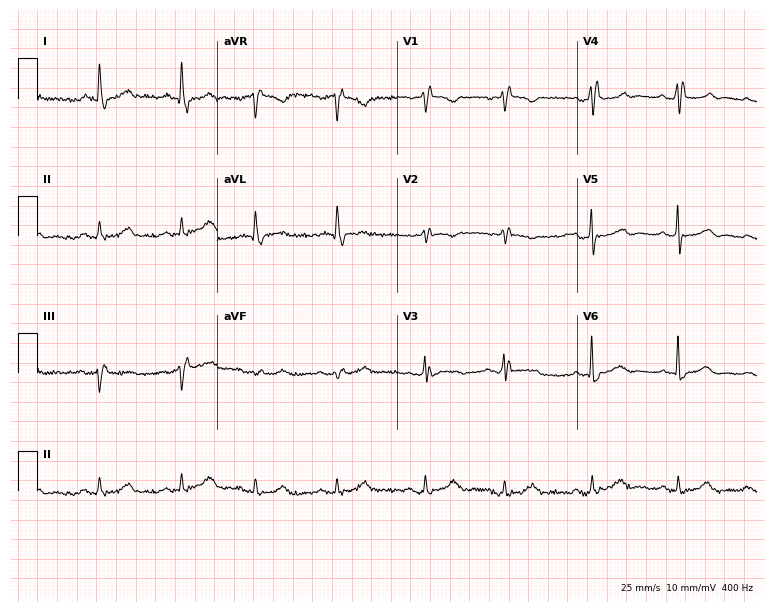
Standard 12-lead ECG recorded from a 66-year-old female patient (7.3-second recording at 400 Hz). None of these six findings is recorded: first-degree AV block, right bundle branch block, left bundle branch block, sinus bradycardia, atrial fibrillation, sinus tachycardia.